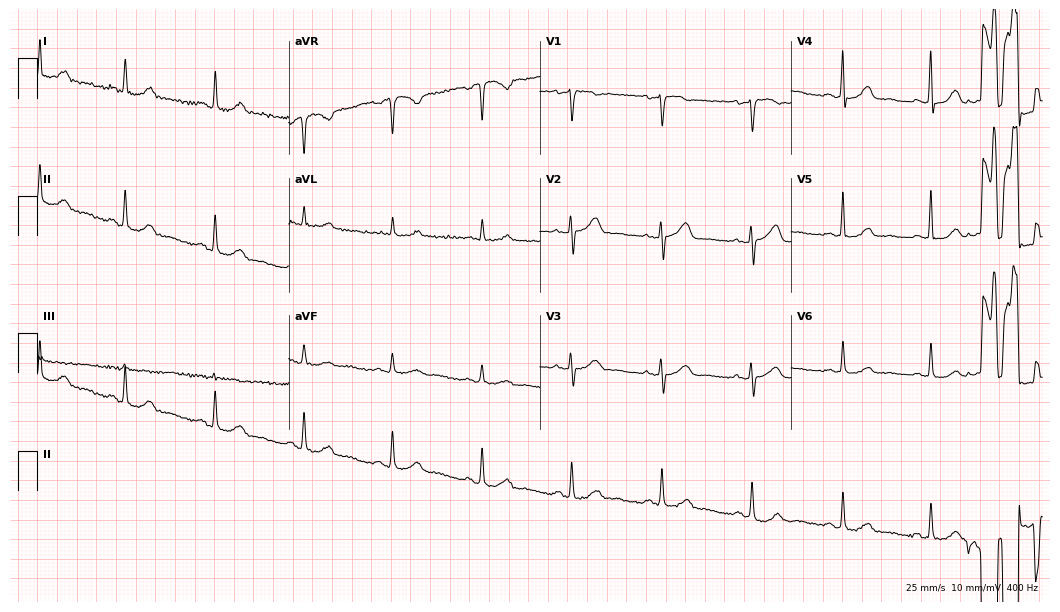
Resting 12-lead electrocardiogram (10.2-second recording at 400 Hz). Patient: a 49-year-old female. Read as a normal ECG.